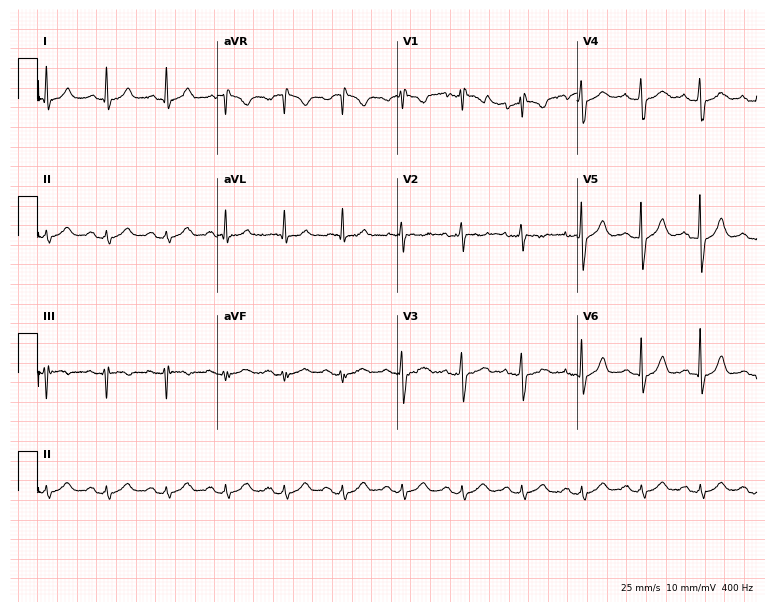
12-lead ECG from a 67-year-old male. Labelled as a normal ECG.